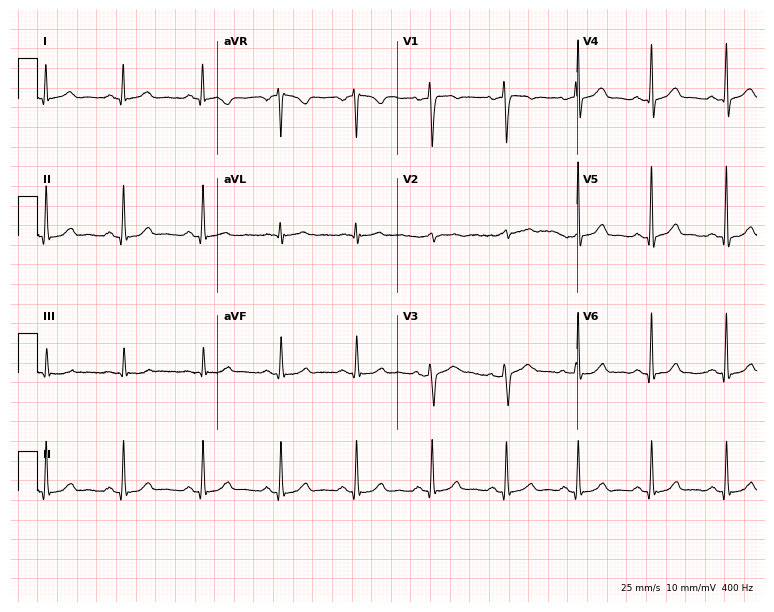
Resting 12-lead electrocardiogram (7.3-second recording at 400 Hz). Patient: a man, 34 years old. None of these six findings is recorded: first-degree AV block, right bundle branch block, left bundle branch block, sinus bradycardia, atrial fibrillation, sinus tachycardia.